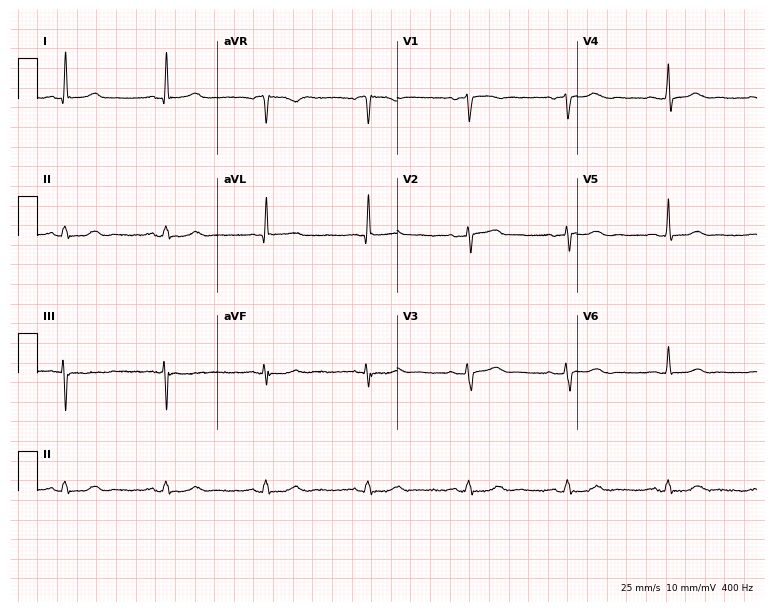
12-lead ECG from a 62-year-old woman. No first-degree AV block, right bundle branch block, left bundle branch block, sinus bradycardia, atrial fibrillation or sinus tachycardia recorded for this tracing.